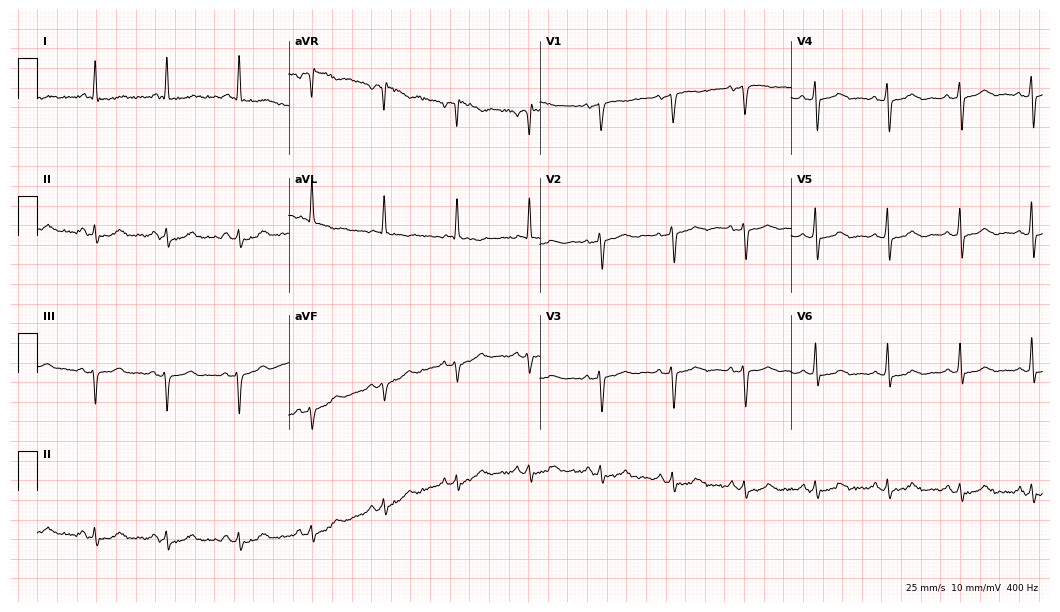
Electrocardiogram (10.2-second recording at 400 Hz), a 76-year-old woman. Overall reading on record: normal ECG.